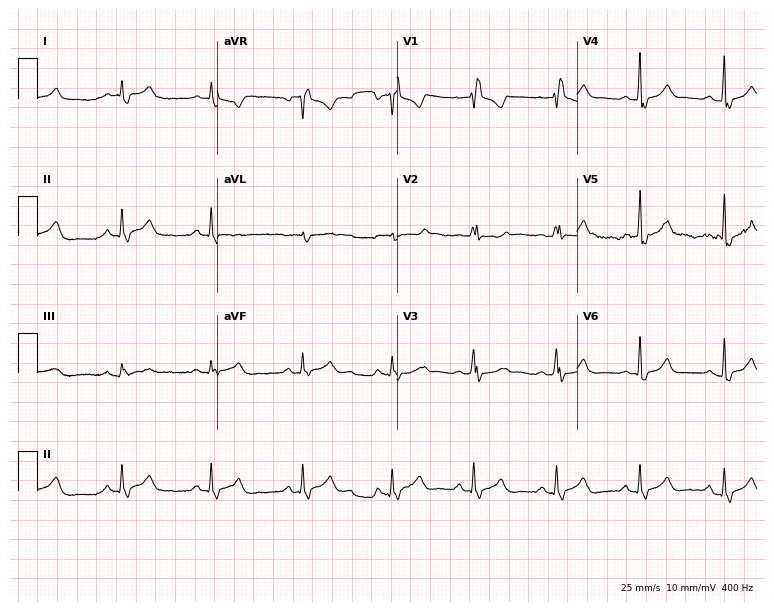
Electrocardiogram, a 42-year-old female patient. Interpretation includes right bundle branch block.